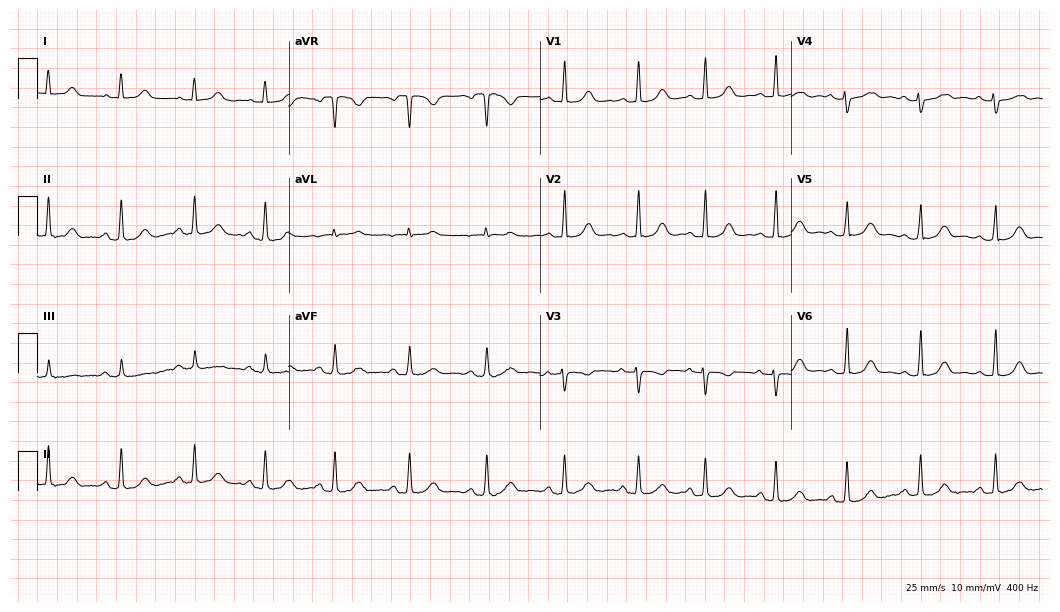
Standard 12-lead ECG recorded from a 35-year-old woman. None of these six findings is recorded: first-degree AV block, right bundle branch block, left bundle branch block, sinus bradycardia, atrial fibrillation, sinus tachycardia. Findings outside these six are not listed.